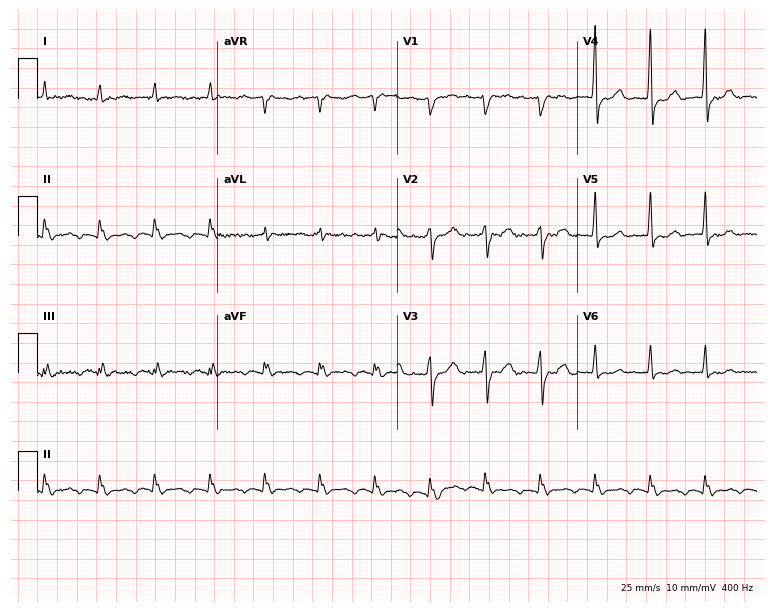
Standard 12-lead ECG recorded from an 81-year-old man (7.3-second recording at 400 Hz). None of these six findings is recorded: first-degree AV block, right bundle branch block (RBBB), left bundle branch block (LBBB), sinus bradycardia, atrial fibrillation (AF), sinus tachycardia. Only these six findings were labelled.